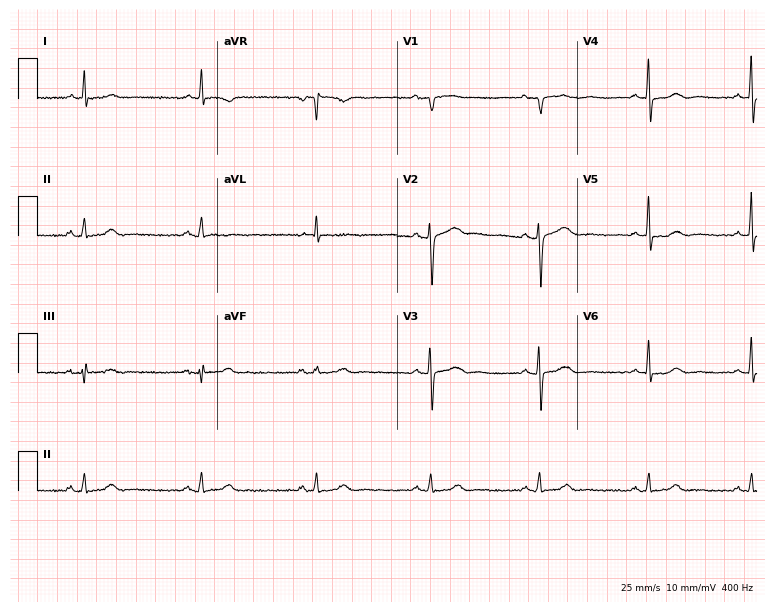
Standard 12-lead ECG recorded from a 65-year-old woman (7.3-second recording at 400 Hz). None of these six findings is recorded: first-degree AV block, right bundle branch block, left bundle branch block, sinus bradycardia, atrial fibrillation, sinus tachycardia.